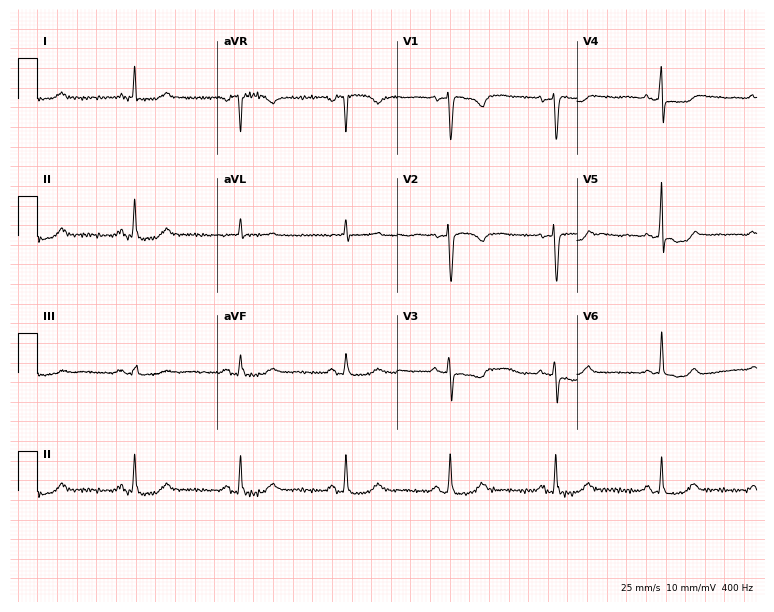
12-lead ECG from a woman, 59 years old (7.3-second recording at 400 Hz). Recorded interpretation: within normal limits.